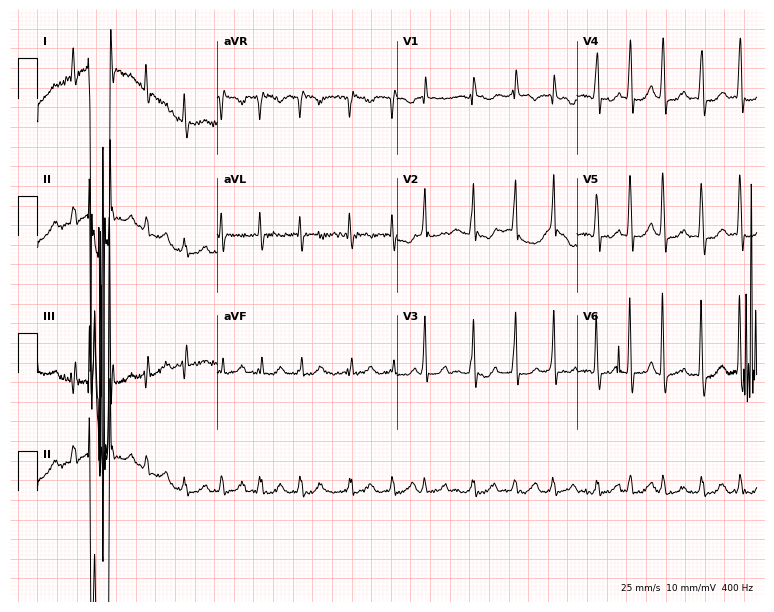
12-lead ECG from a 64-year-old female. Screened for six findings — first-degree AV block, right bundle branch block, left bundle branch block, sinus bradycardia, atrial fibrillation, sinus tachycardia — none is recorded. Other findings, if any, are not listed.